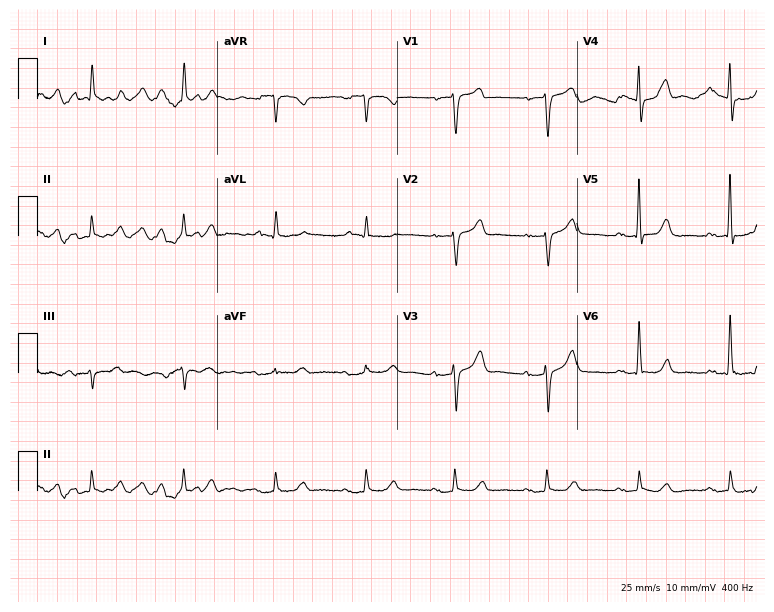
Standard 12-lead ECG recorded from a man, 85 years old (7.3-second recording at 400 Hz). Read as a normal ECG.